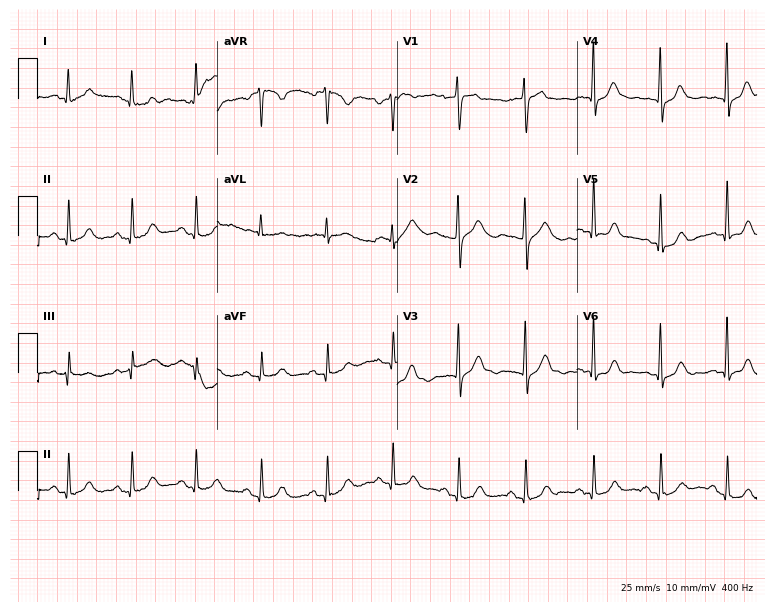
Standard 12-lead ECG recorded from a 62-year-old woman. None of these six findings is recorded: first-degree AV block, right bundle branch block, left bundle branch block, sinus bradycardia, atrial fibrillation, sinus tachycardia. Findings outside these six are not listed.